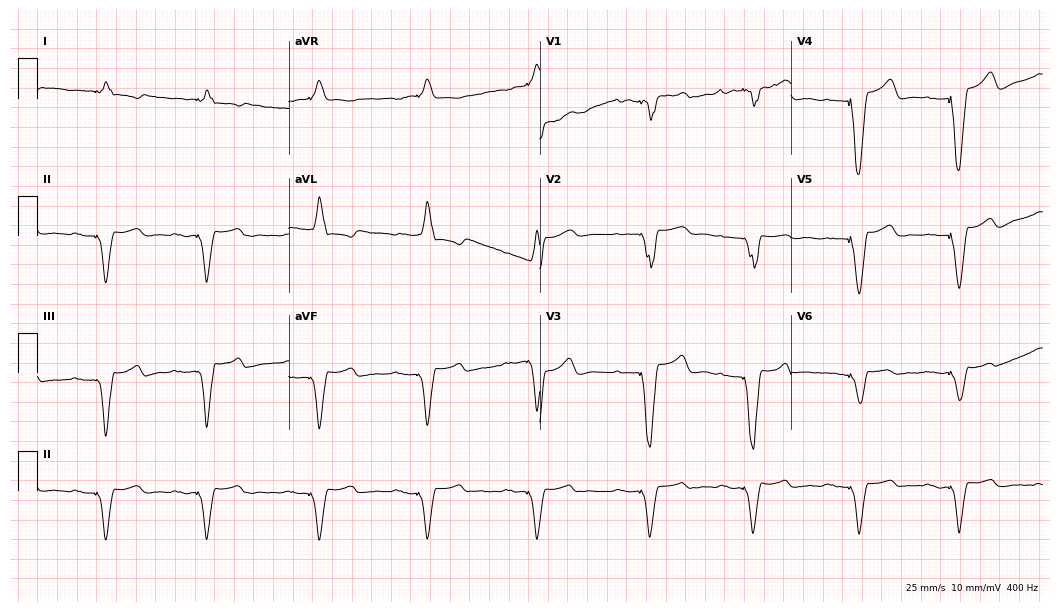
12-lead ECG from an 83-year-old female patient (10.2-second recording at 400 Hz). No first-degree AV block, right bundle branch block (RBBB), left bundle branch block (LBBB), sinus bradycardia, atrial fibrillation (AF) or sinus tachycardia recorded for this tracing. Only these six findings were labelled.